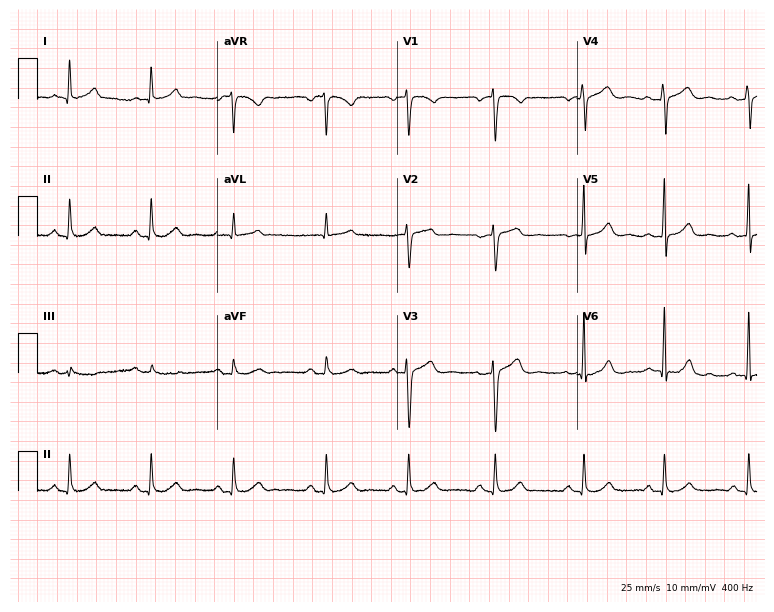
12-lead ECG (7.3-second recording at 400 Hz) from a female, 32 years old. Screened for six findings — first-degree AV block, right bundle branch block, left bundle branch block, sinus bradycardia, atrial fibrillation, sinus tachycardia — none is recorded. Other findings, if any, are not listed.